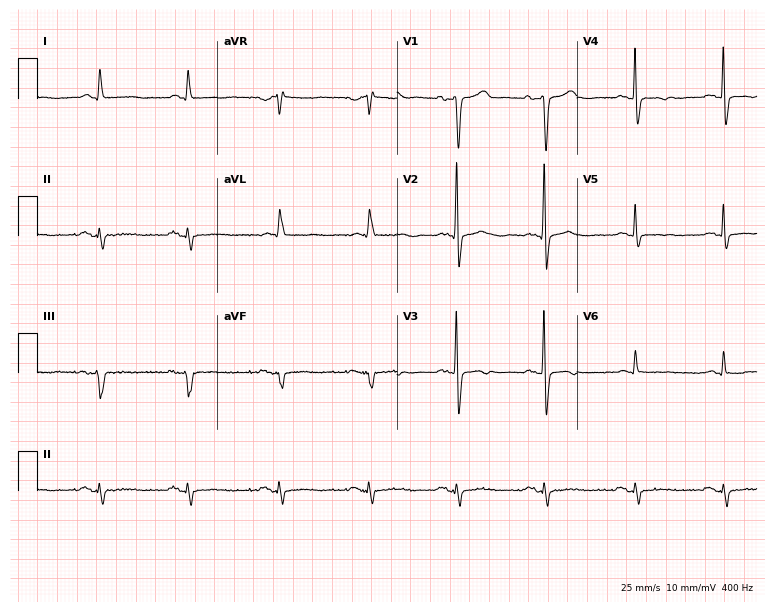
ECG (7.3-second recording at 400 Hz) — an 82-year-old female. Screened for six findings — first-degree AV block, right bundle branch block (RBBB), left bundle branch block (LBBB), sinus bradycardia, atrial fibrillation (AF), sinus tachycardia — none is recorded.